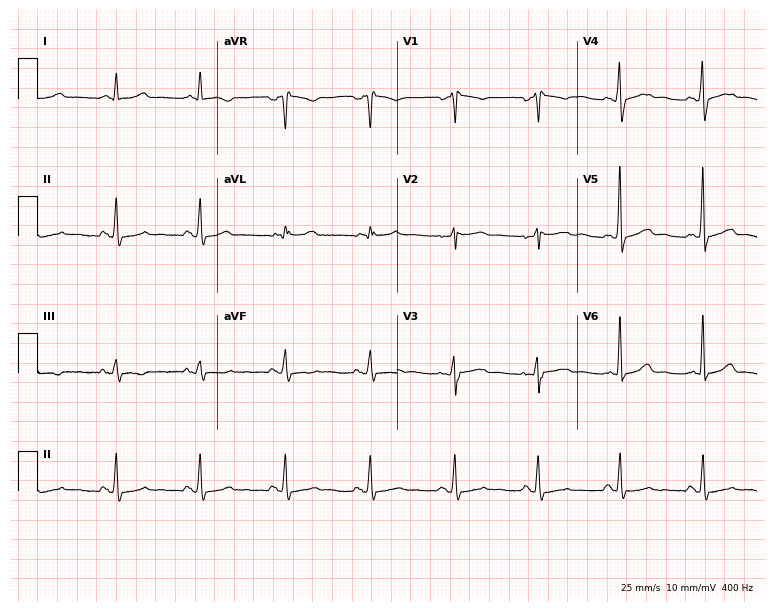
12-lead ECG from a woman, 46 years old. No first-degree AV block, right bundle branch block (RBBB), left bundle branch block (LBBB), sinus bradycardia, atrial fibrillation (AF) or sinus tachycardia recorded for this tracing. Only these six findings were labelled.